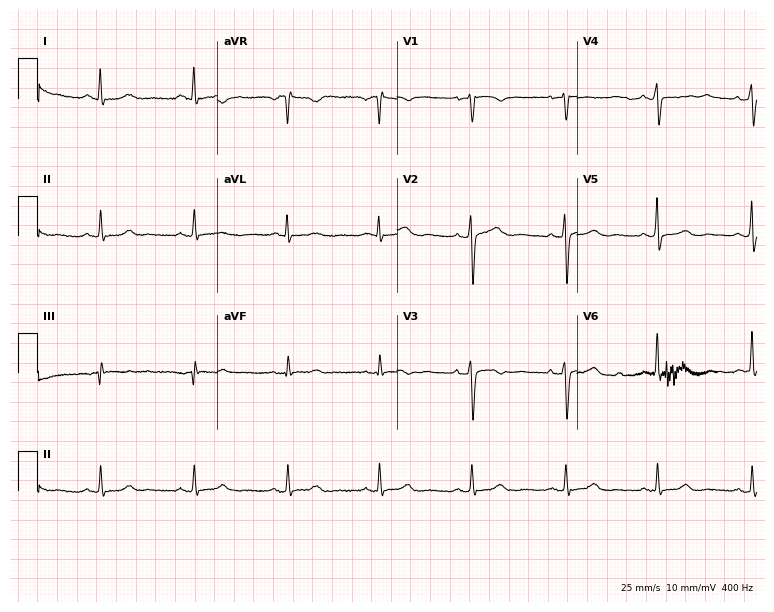
Resting 12-lead electrocardiogram (7.3-second recording at 400 Hz). Patient: a woman, 55 years old. Read as a normal ECG.